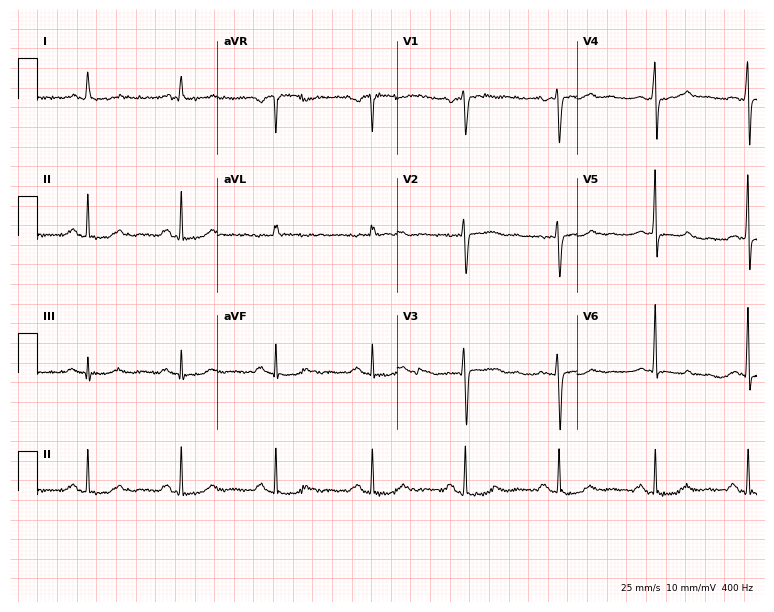
Standard 12-lead ECG recorded from a 56-year-old female. Read as a normal ECG.